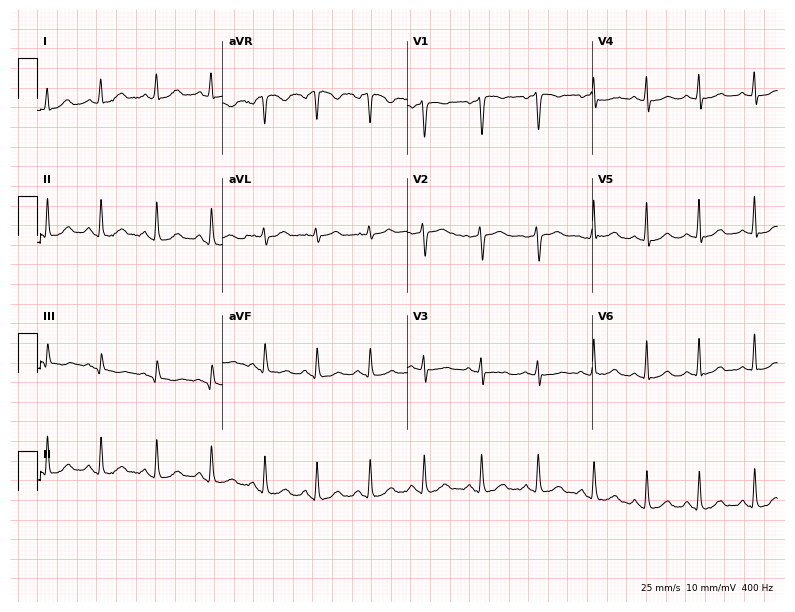
Standard 12-lead ECG recorded from a 47-year-old woman (7.5-second recording at 400 Hz). None of these six findings is recorded: first-degree AV block, right bundle branch block (RBBB), left bundle branch block (LBBB), sinus bradycardia, atrial fibrillation (AF), sinus tachycardia.